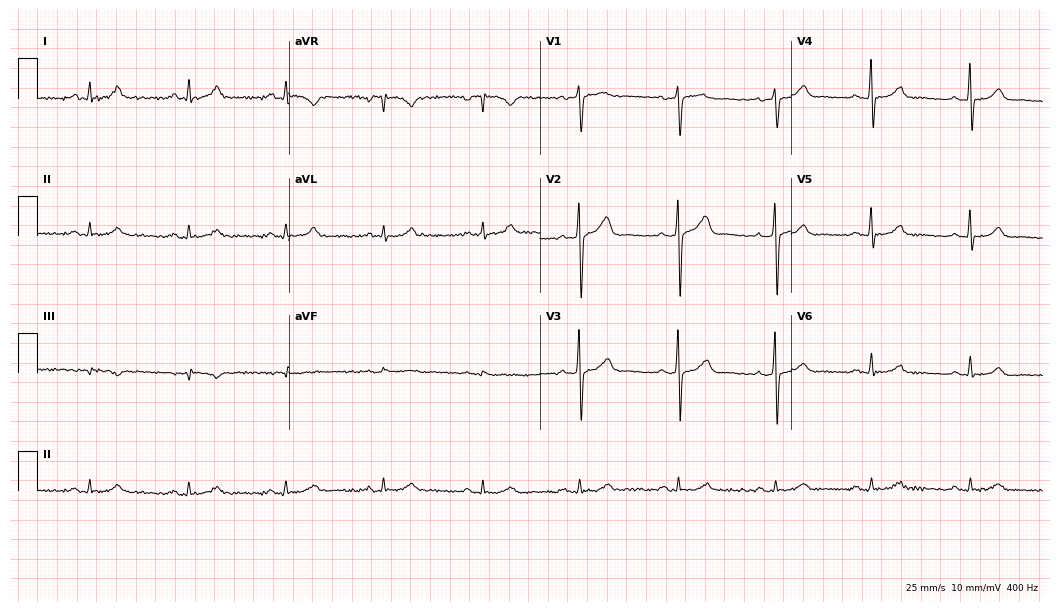
Standard 12-lead ECG recorded from a man, 54 years old (10.2-second recording at 400 Hz). Read as a normal ECG.